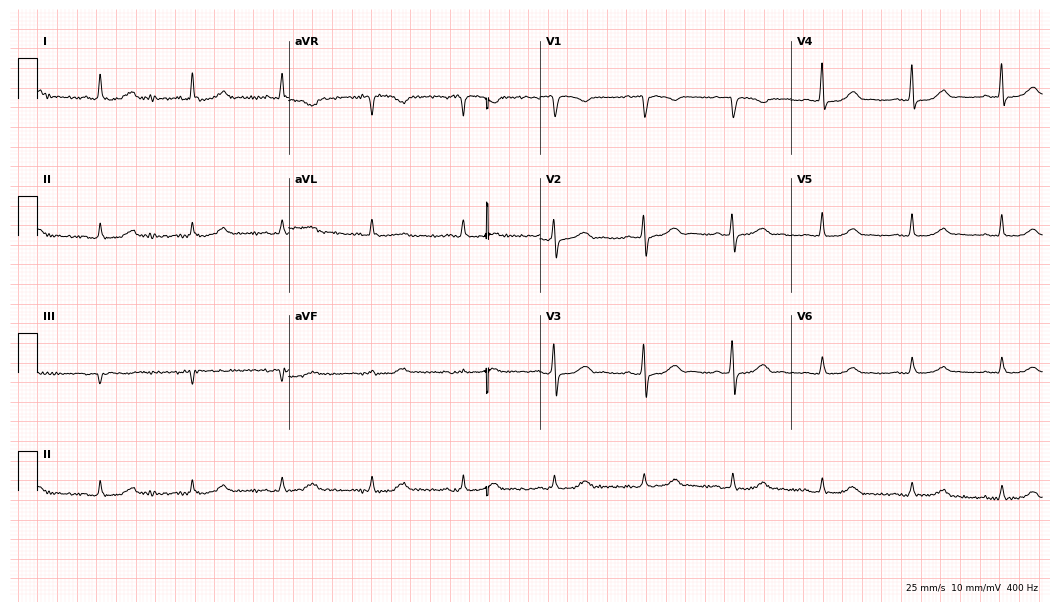
12-lead ECG from a 79-year-old female patient. Screened for six findings — first-degree AV block, right bundle branch block, left bundle branch block, sinus bradycardia, atrial fibrillation, sinus tachycardia — none is recorded.